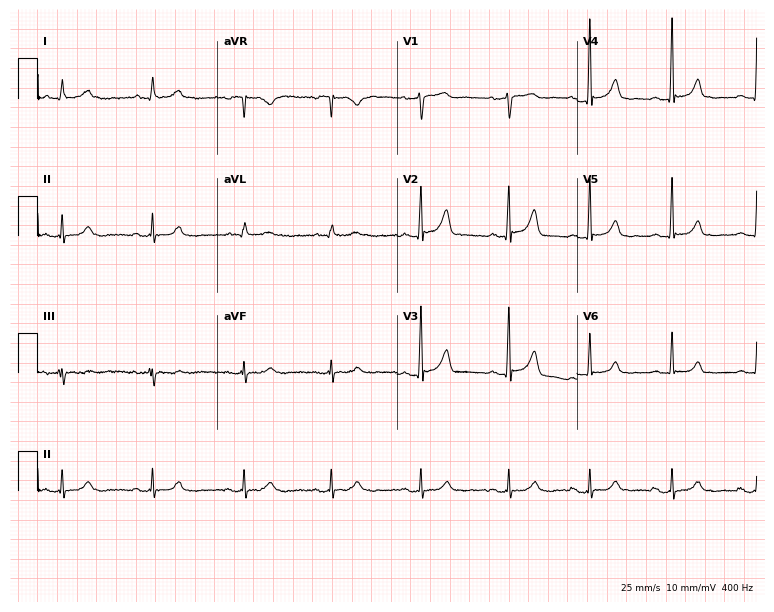
ECG (7.3-second recording at 400 Hz) — a female patient, 54 years old. Screened for six findings — first-degree AV block, right bundle branch block, left bundle branch block, sinus bradycardia, atrial fibrillation, sinus tachycardia — none is recorded. Findings outside these six are not listed.